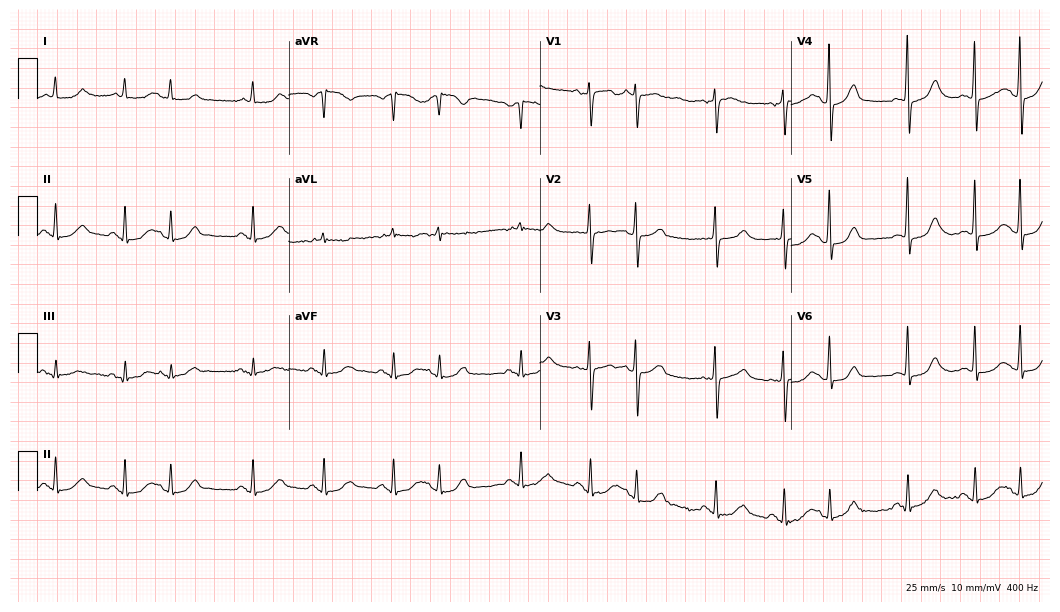
ECG — a female patient, 77 years old. Screened for six findings — first-degree AV block, right bundle branch block (RBBB), left bundle branch block (LBBB), sinus bradycardia, atrial fibrillation (AF), sinus tachycardia — none is recorded. Findings outside these six are not listed.